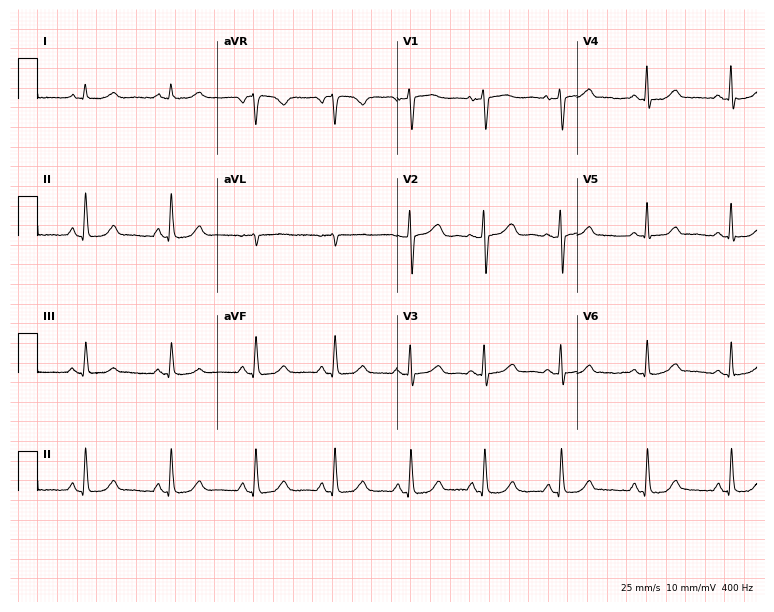
Electrocardiogram (7.3-second recording at 400 Hz), a 50-year-old female. Overall reading on record: normal ECG.